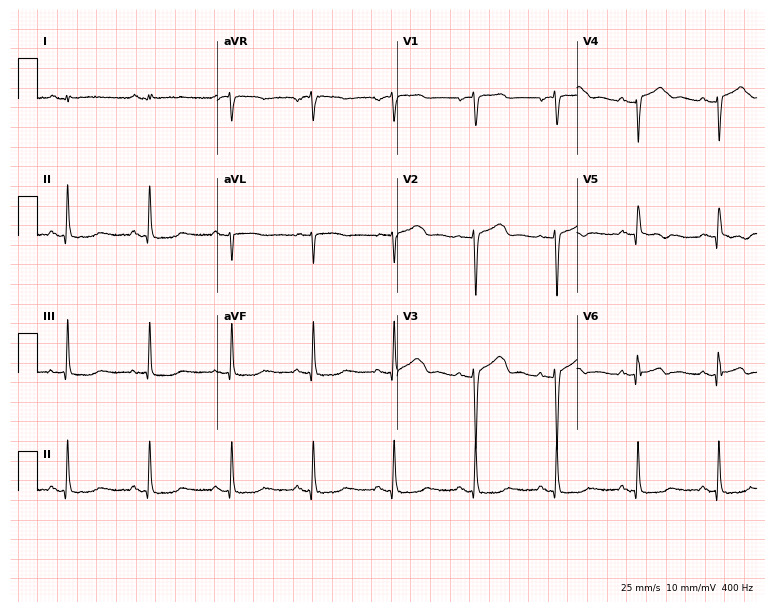
12-lead ECG (7.3-second recording at 400 Hz) from a 60-year-old woman. Screened for six findings — first-degree AV block, right bundle branch block, left bundle branch block, sinus bradycardia, atrial fibrillation, sinus tachycardia — none is recorded.